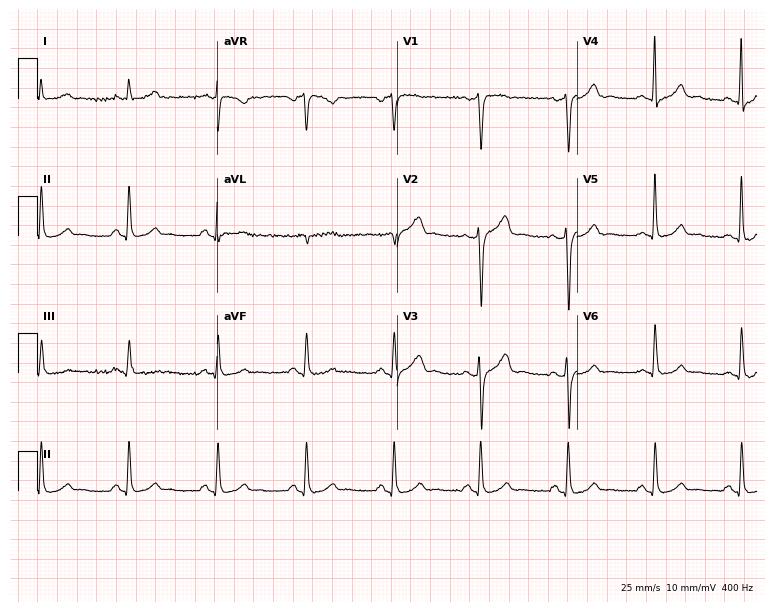
ECG (7.3-second recording at 400 Hz) — a 50-year-old male. Labelled as a normal ECG.